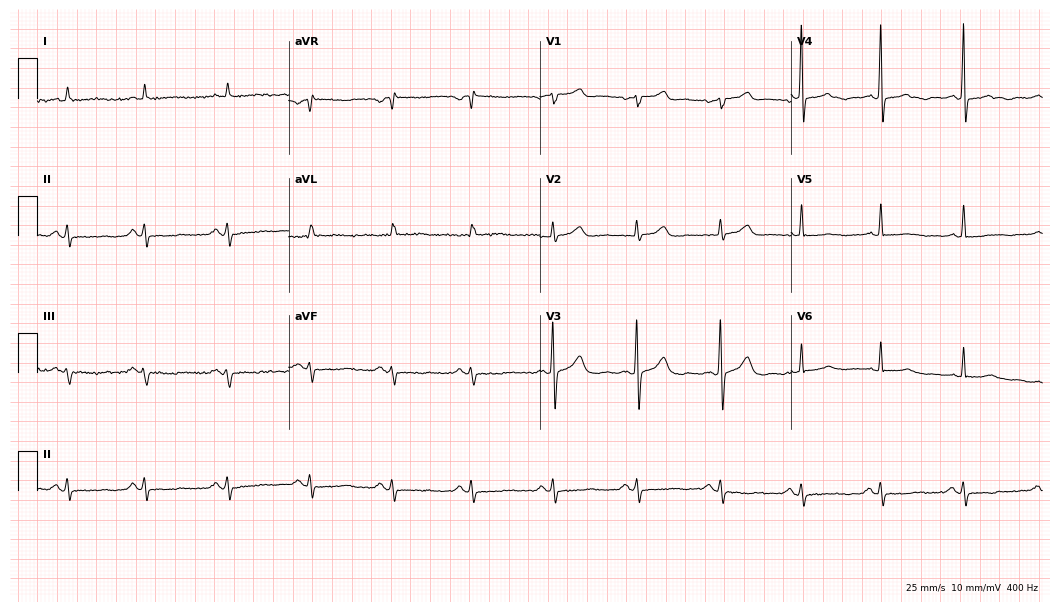
Electrocardiogram (10.2-second recording at 400 Hz), a 78-year-old woman. Of the six screened findings (first-degree AV block, right bundle branch block, left bundle branch block, sinus bradycardia, atrial fibrillation, sinus tachycardia), none is recorded.